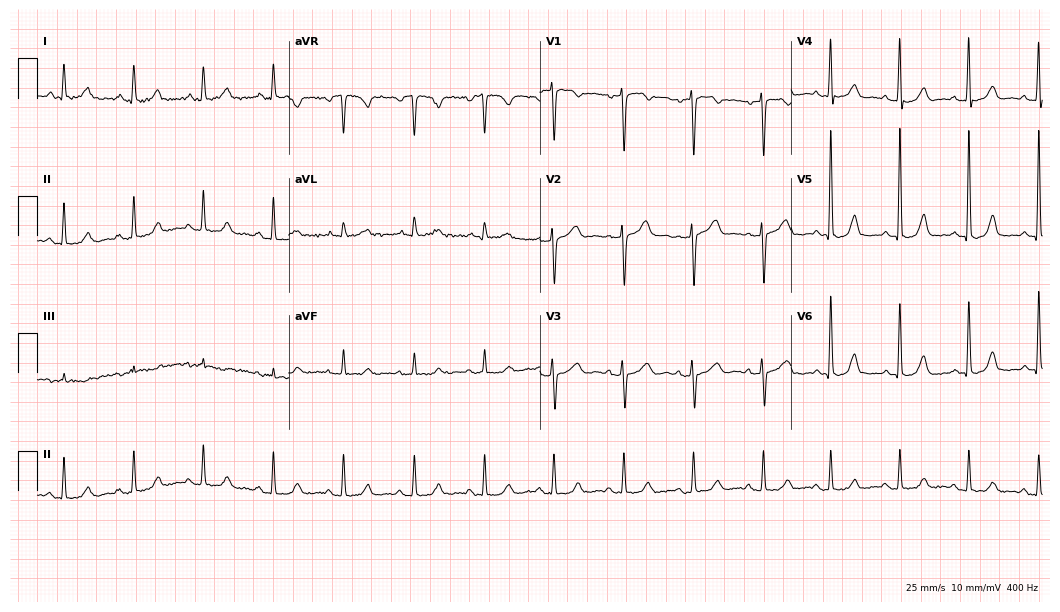
12-lead ECG from a 45-year-old male (10.2-second recording at 400 Hz). No first-degree AV block, right bundle branch block, left bundle branch block, sinus bradycardia, atrial fibrillation or sinus tachycardia recorded for this tracing.